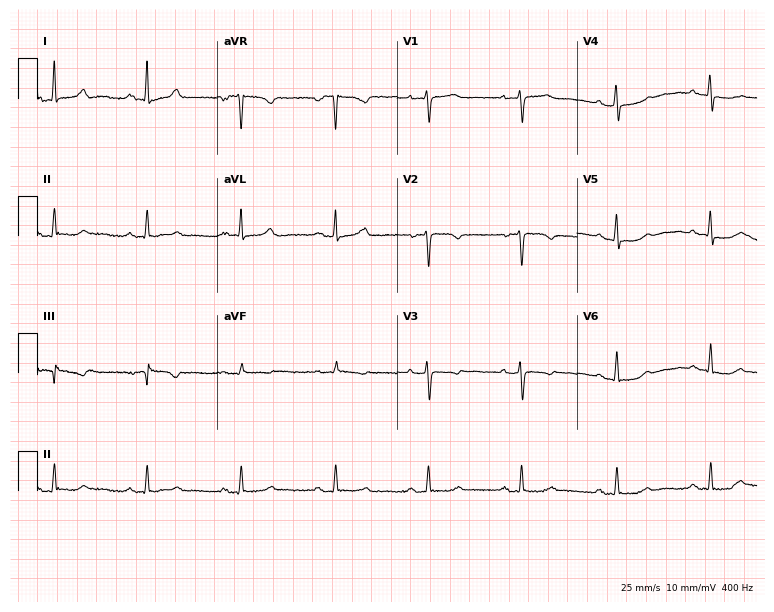
Electrocardiogram (7.3-second recording at 400 Hz), a 51-year-old female. Of the six screened findings (first-degree AV block, right bundle branch block (RBBB), left bundle branch block (LBBB), sinus bradycardia, atrial fibrillation (AF), sinus tachycardia), none is recorded.